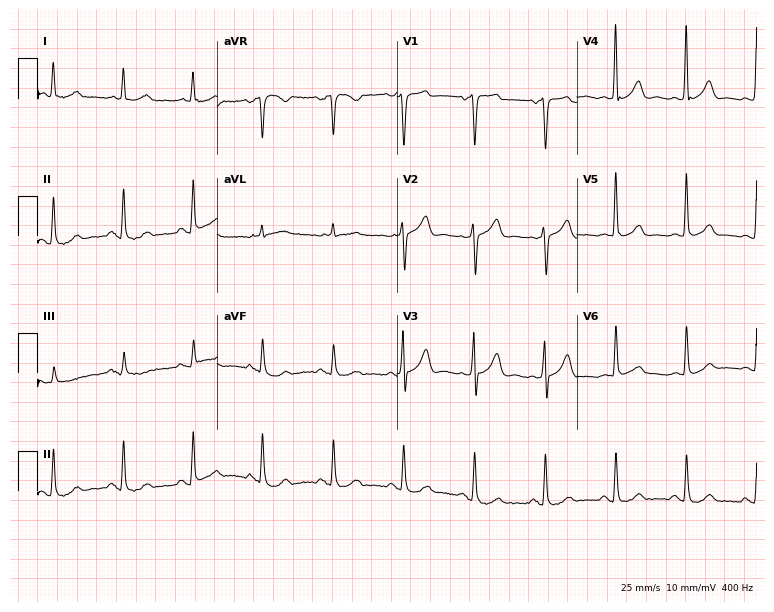
Electrocardiogram, a man, 85 years old. Of the six screened findings (first-degree AV block, right bundle branch block (RBBB), left bundle branch block (LBBB), sinus bradycardia, atrial fibrillation (AF), sinus tachycardia), none is recorded. Other findings, if any, are not listed.